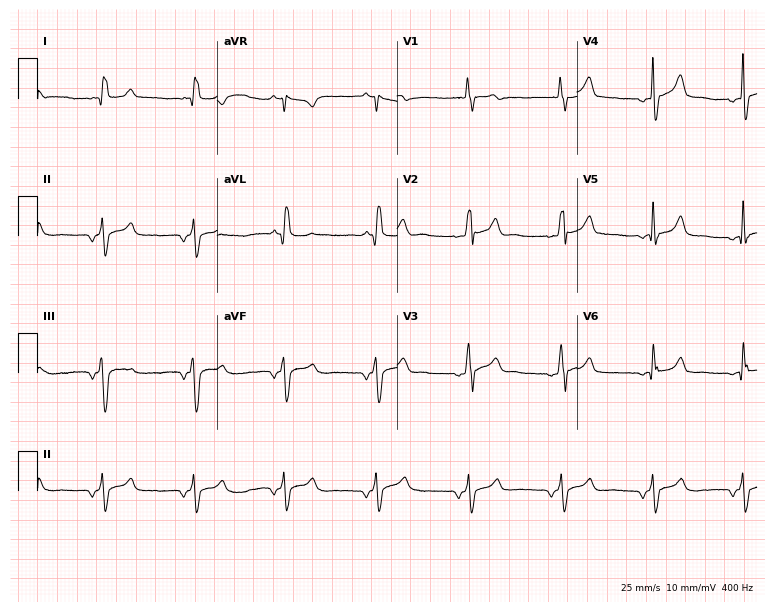
12-lead ECG from a male, 56 years old. Screened for six findings — first-degree AV block, right bundle branch block, left bundle branch block, sinus bradycardia, atrial fibrillation, sinus tachycardia — none is recorded. Other findings, if any, are not listed.